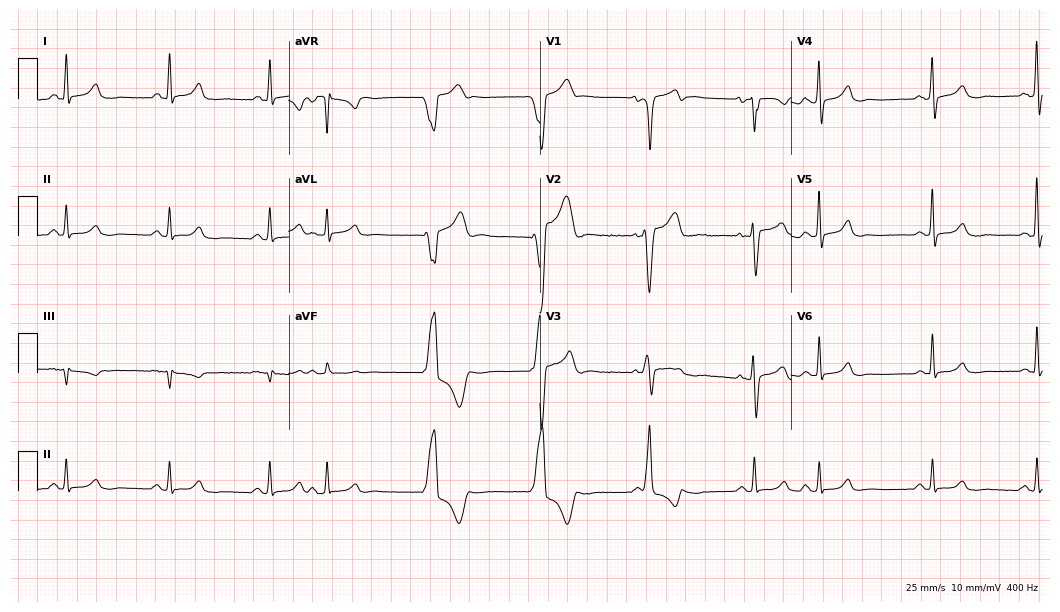
Resting 12-lead electrocardiogram (10.2-second recording at 400 Hz). Patient: a female, 72 years old. None of these six findings is recorded: first-degree AV block, right bundle branch block (RBBB), left bundle branch block (LBBB), sinus bradycardia, atrial fibrillation (AF), sinus tachycardia. Only these six findings were labelled.